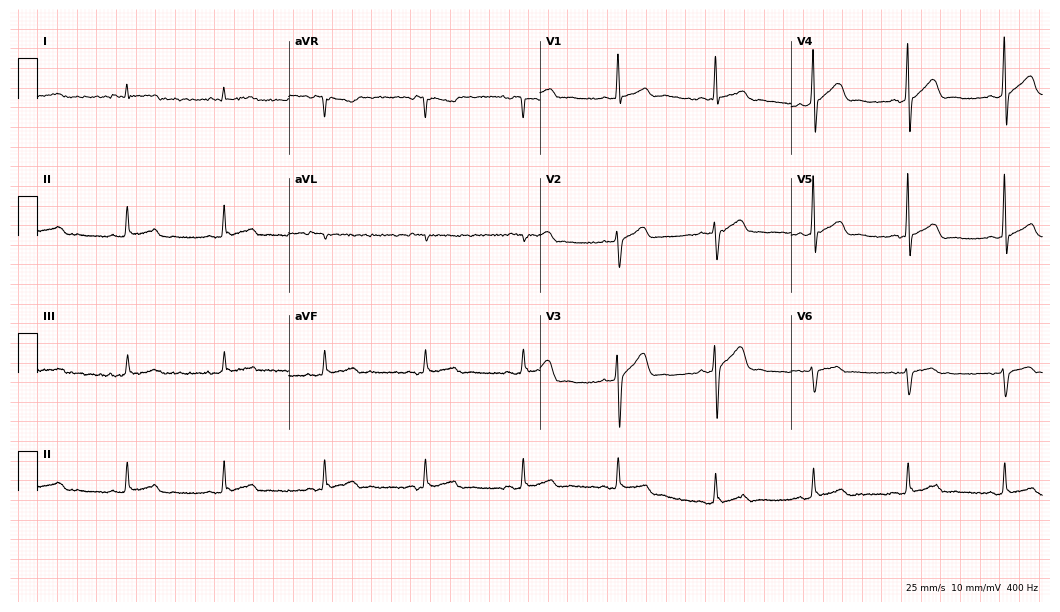
ECG — a male, 60 years old. Screened for six findings — first-degree AV block, right bundle branch block (RBBB), left bundle branch block (LBBB), sinus bradycardia, atrial fibrillation (AF), sinus tachycardia — none is recorded. Findings outside these six are not listed.